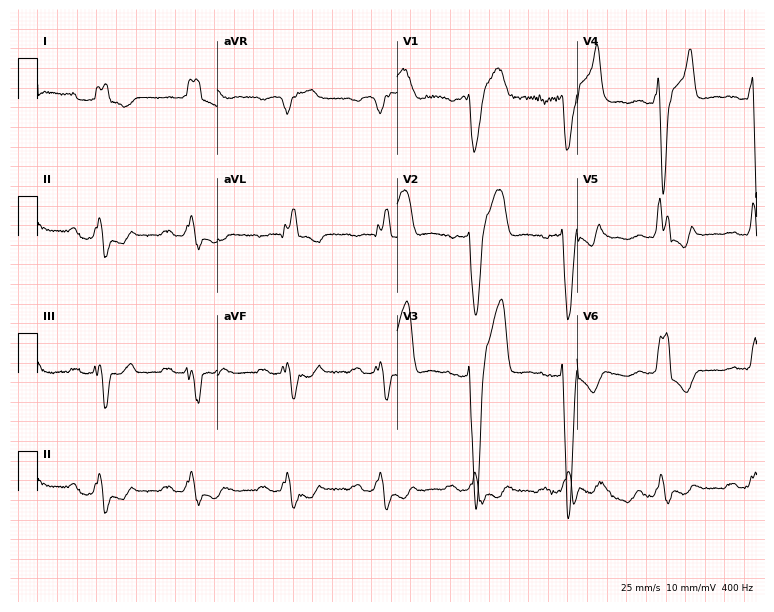
Standard 12-lead ECG recorded from a male patient, 79 years old. None of these six findings is recorded: first-degree AV block, right bundle branch block, left bundle branch block, sinus bradycardia, atrial fibrillation, sinus tachycardia. Findings outside these six are not listed.